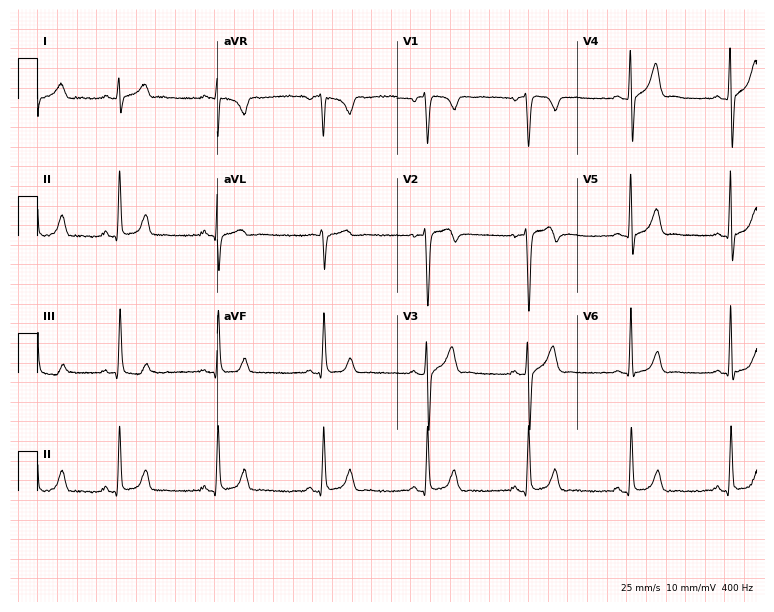
Resting 12-lead electrocardiogram. Patient: a 33-year-old male. Read as a normal ECG.